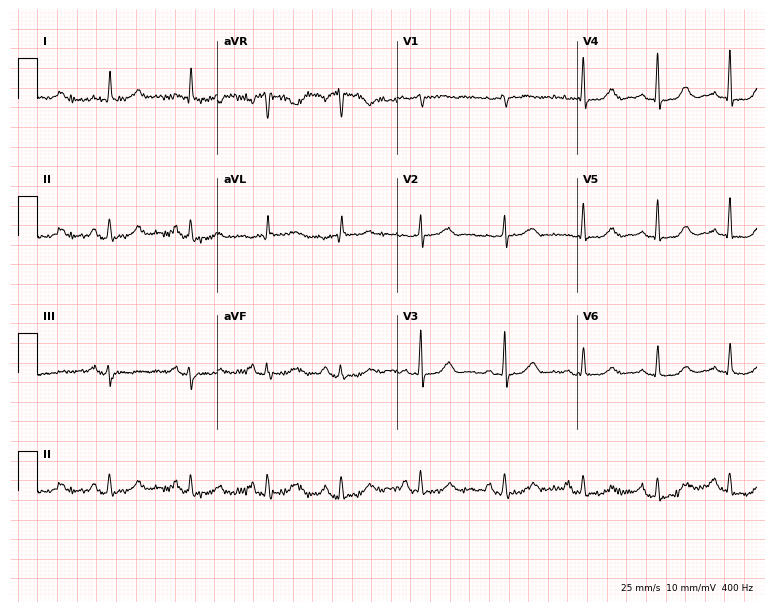
Electrocardiogram (7.3-second recording at 400 Hz), a 77-year-old female patient. Overall reading on record: normal ECG.